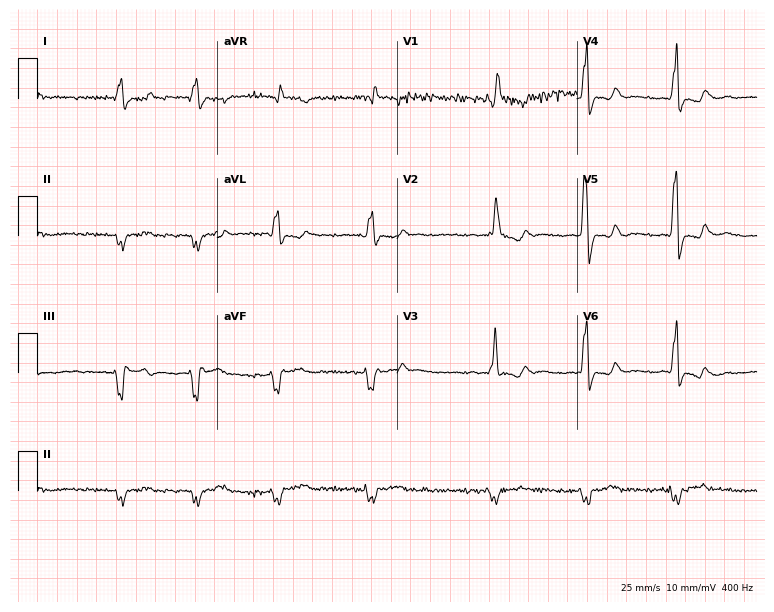
Electrocardiogram (7.3-second recording at 400 Hz), a male patient, 73 years old. Interpretation includes right bundle branch block (RBBB), atrial fibrillation (AF).